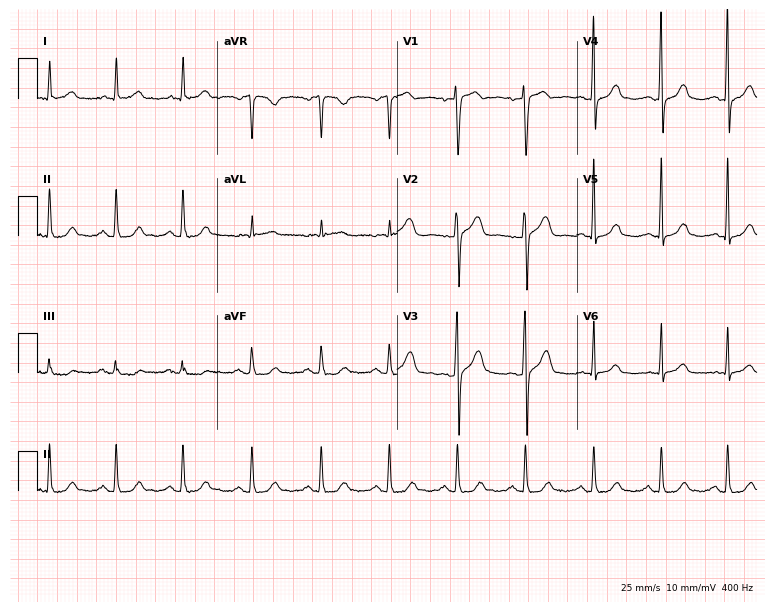
12-lead ECG from a man, 50 years old. Screened for six findings — first-degree AV block, right bundle branch block (RBBB), left bundle branch block (LBBB), sinus bradycardia, atrial fibrillation (AF), sinus tachycardia — none is recorded. Findings outside these six are not listed.